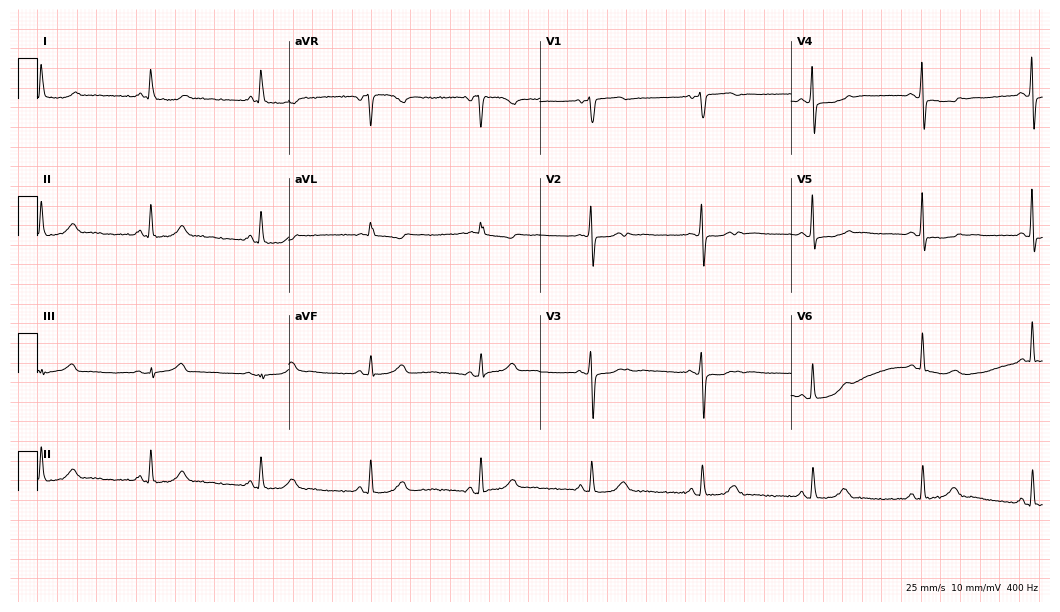
ECG (10.2-second recording at 400 Hz) — a female patient, 69 years old. Screened for six findings — first-degree AV block, right bundle branch block, left bundle branch block, sinus bradycardia, atrial fibrillation, sinus tachycardia — none is recorded.